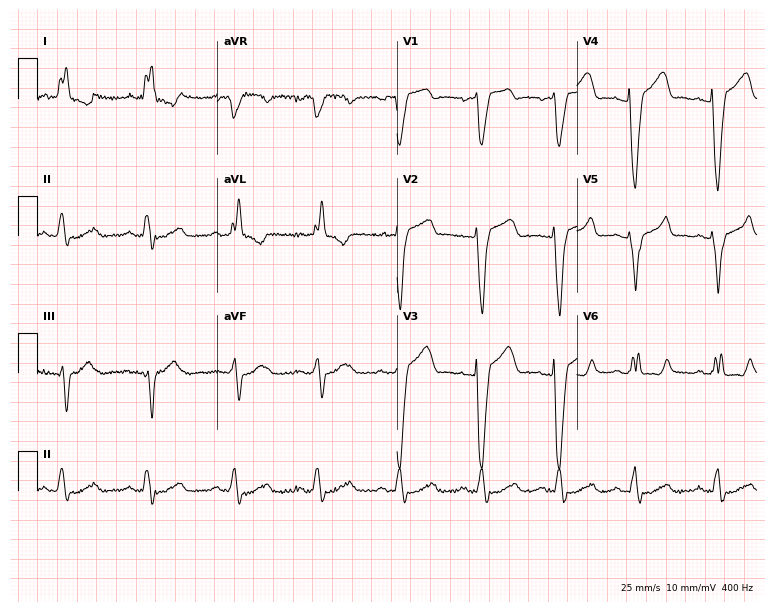
Standard 12-lead ECG recorded from a 68-year-old female (7.3-second recording at 400 Hz). The tracing shows left bundle branch block (LBBB).